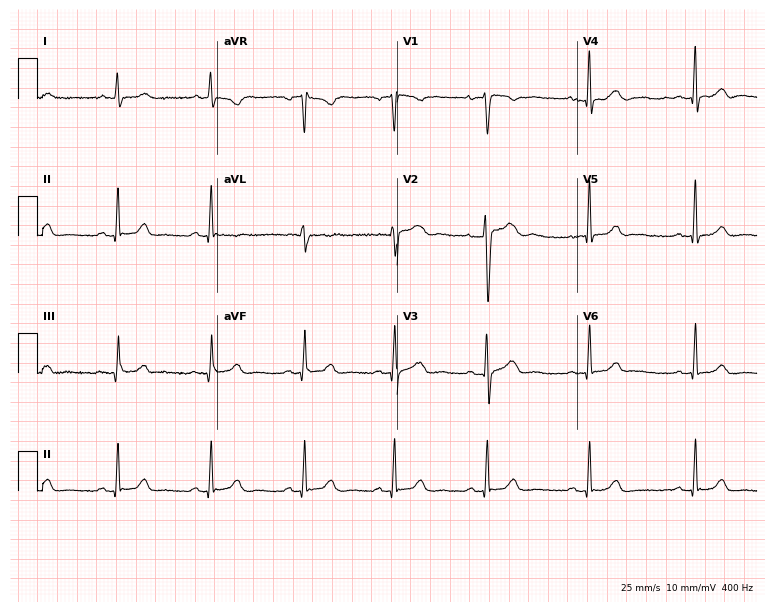
12-lead ECG (7.3-second recording at 400 Hz) from a 53-year-old female. Labelled as a normal ECG.